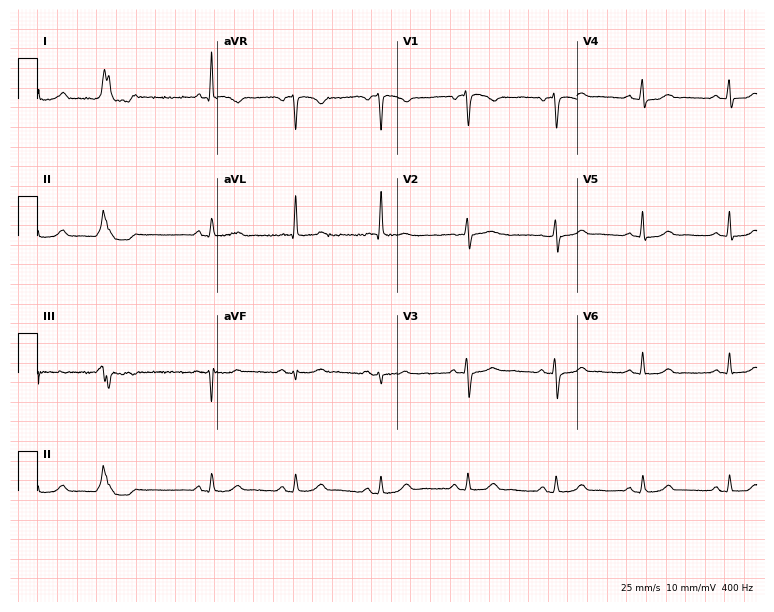
12-lead ECG from a woman, 78 years old. Screened for six findings — first-degree AV block, right bundle branch block, left bundle branch block, sinus bradycardia, atrial fibrillation, sinus tachycardia — none is recorded. Other findings, if any, are not listed.